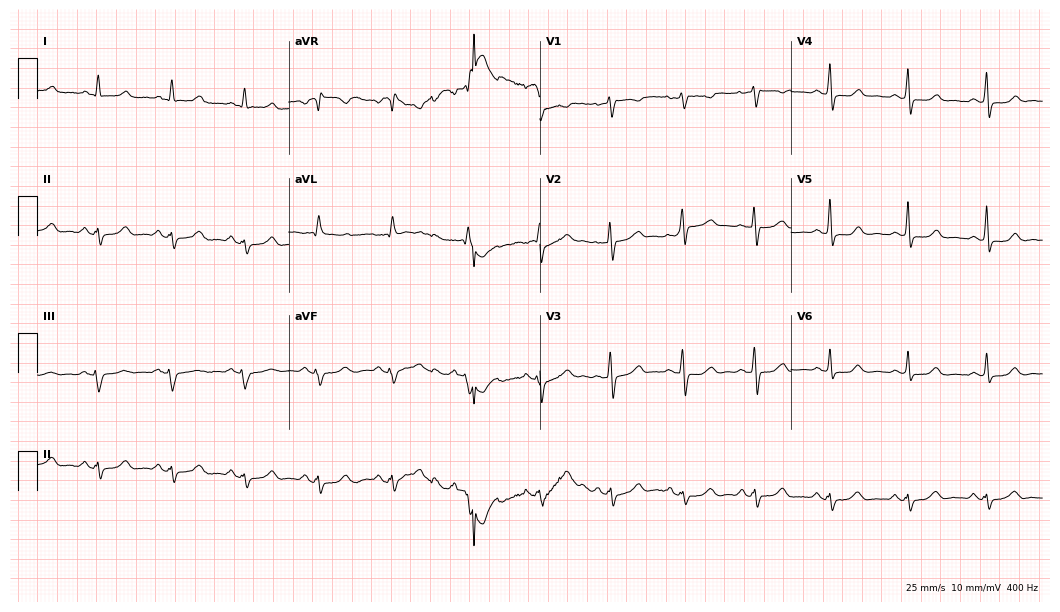
12-lead ECG from a 53-year-old female. No first-degree AV block, right bundle branch block, left bundle branch block, sinus bradycardia, atrial fibrillation or sinus tachycardia recorded for this tracing. Only these six findings were labelled.